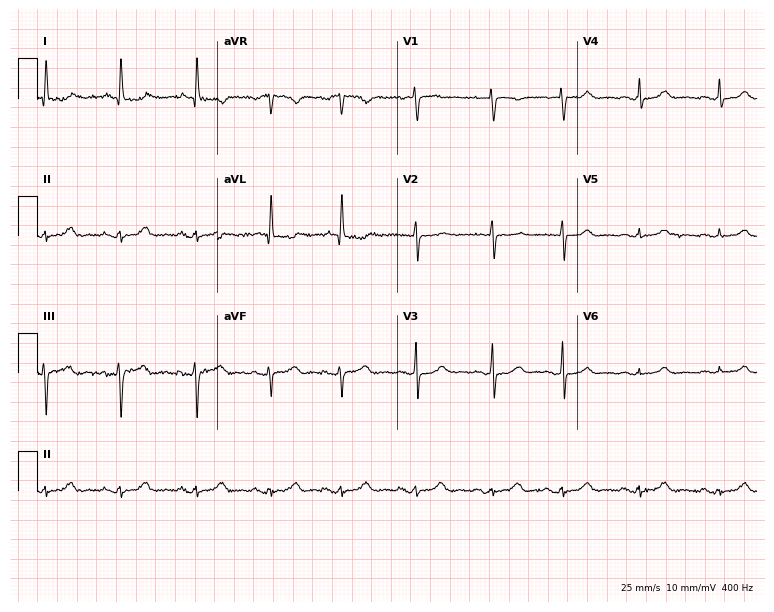
Resting 12-lead electrocardiogram (7.3-second recording at 400 Hz). Patient: a 69-year-old female. Read as a normal ECG.